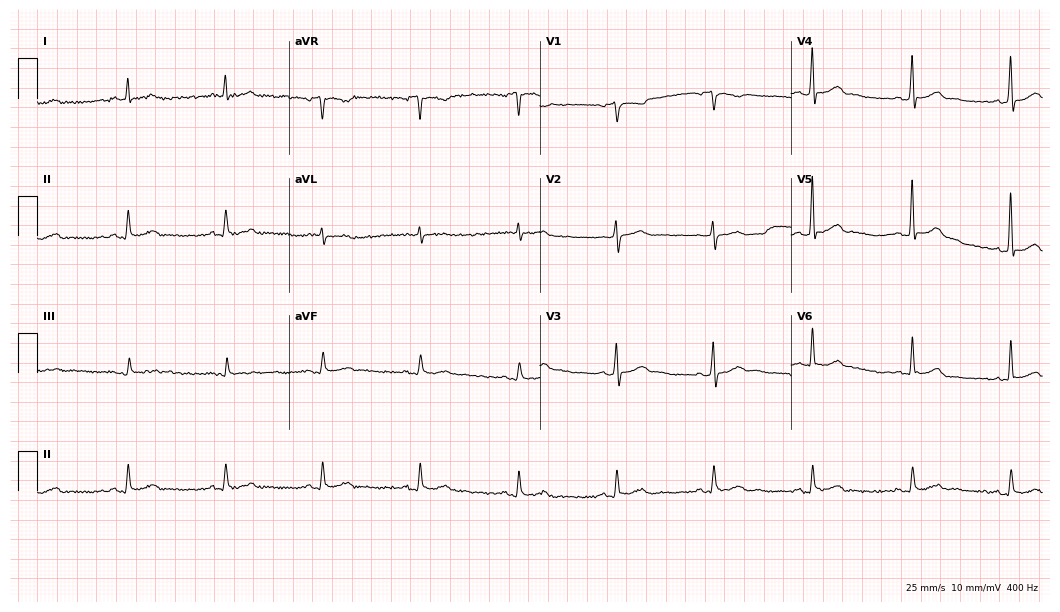
Electrocardiogram, a 57-year-old man. Overall reading on record: normal ECG.